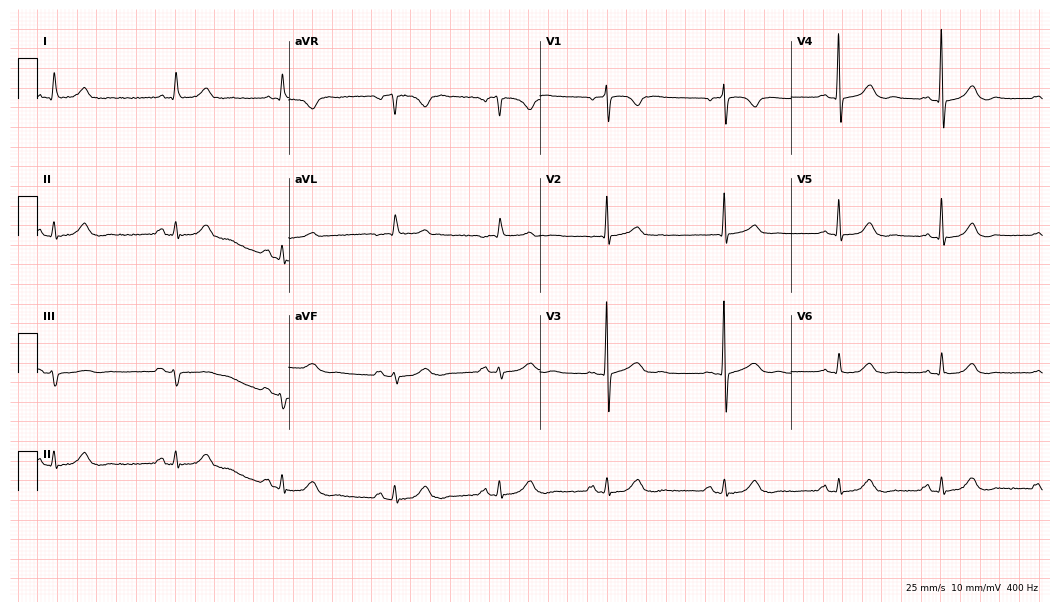
Resting 12-lead electrocardiogram (10.2-second recording at 400 Hz). Patient: a 71-year-old female. None of these six findings is recorded: first-degree AV block, right bundle branch block, left bundle branch block, sinus bradycardia, atrial fibrillation, sinus tachycardia.